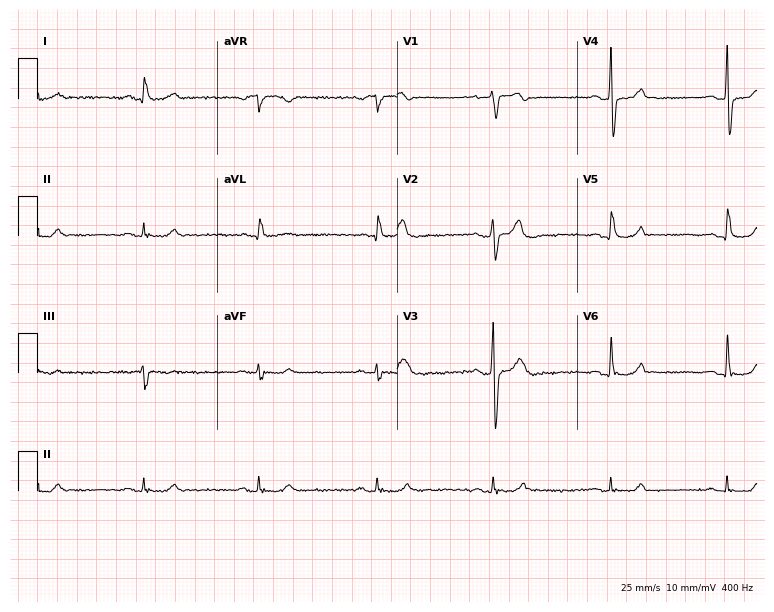
Electrocardiogram (7.3-second recording at 400 Hz), a 53-year-old male patient. Overall reading on record: normal ECG.